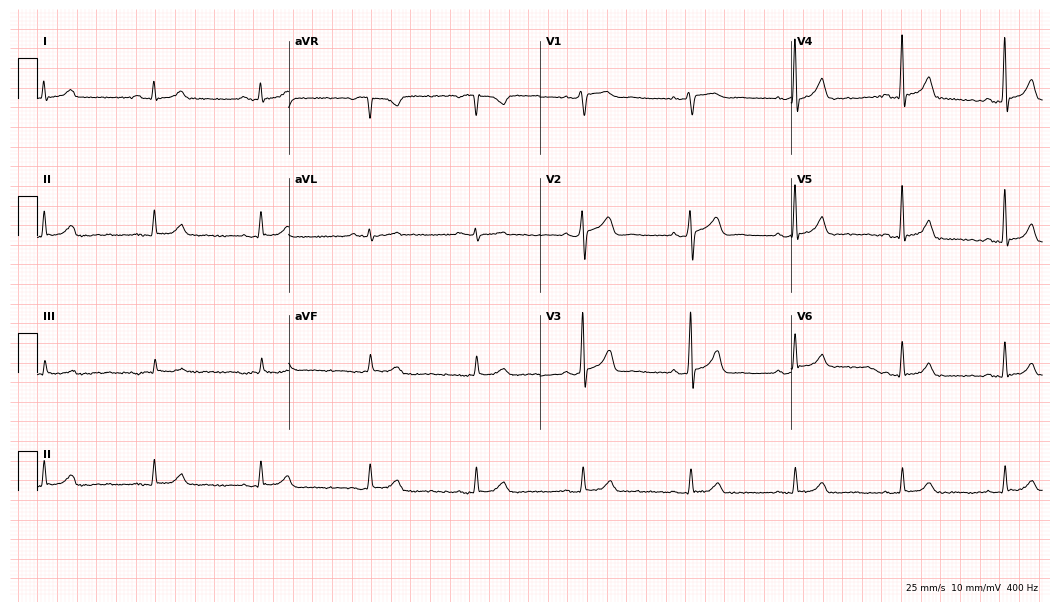
12-lead ECG from a 69-year-old male patient. Recorded interpretation: within normal limits.